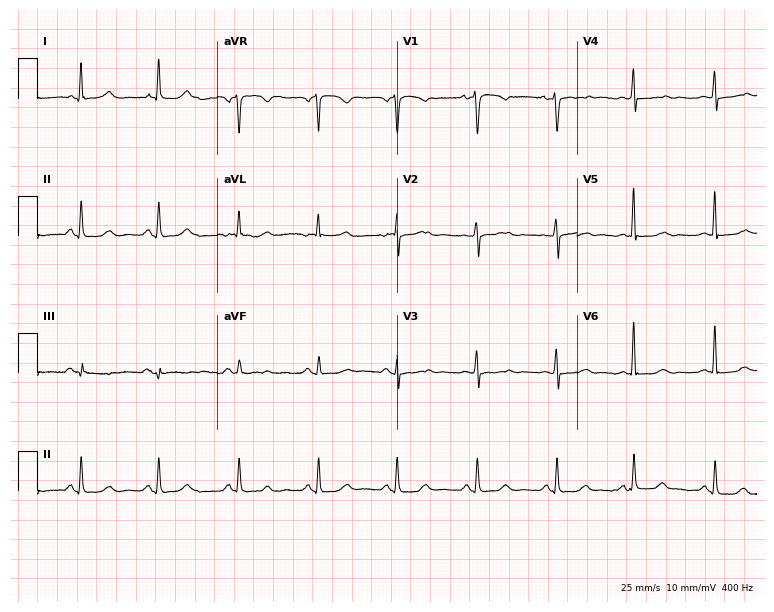
Standard 12-lead ECG recorded from a 63-year-old female patient. None of these six findings is recorded: first-degree AV block, right bundle branch block (RBBB), left bundle branch block (LBBB), sinus bradycardia, atrial fibrillation (AF), sinus tachycardia.